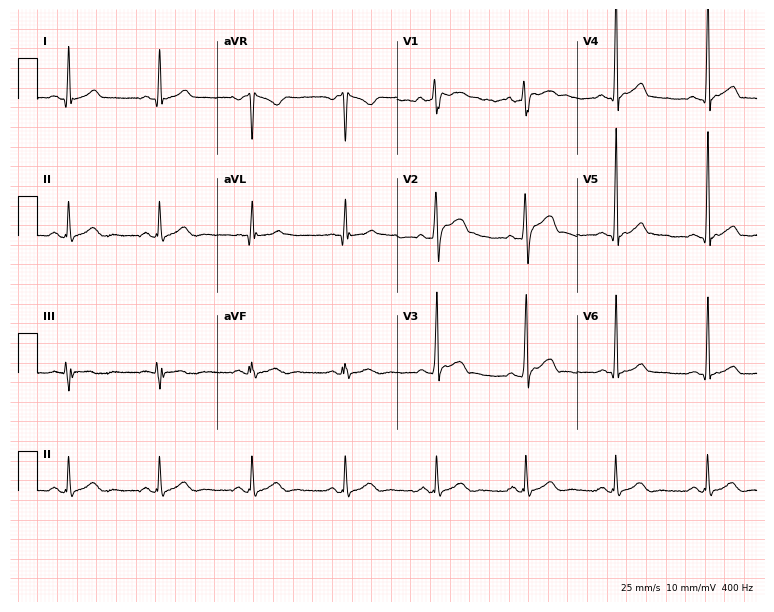
Electrocardiogram (7.3-second recording at 400 Hz), a 27-year-old male patient. Overall reading on record: normal ECG.